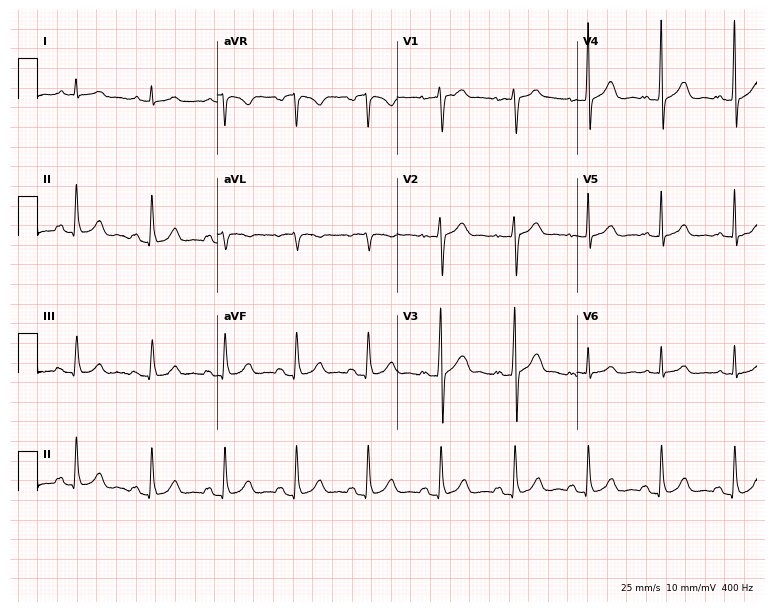
Resting 12-lead electrocardiogram (7.3-second recording at 400 Hz). Patient: a 60-year-old male. Read as a normal ECG.